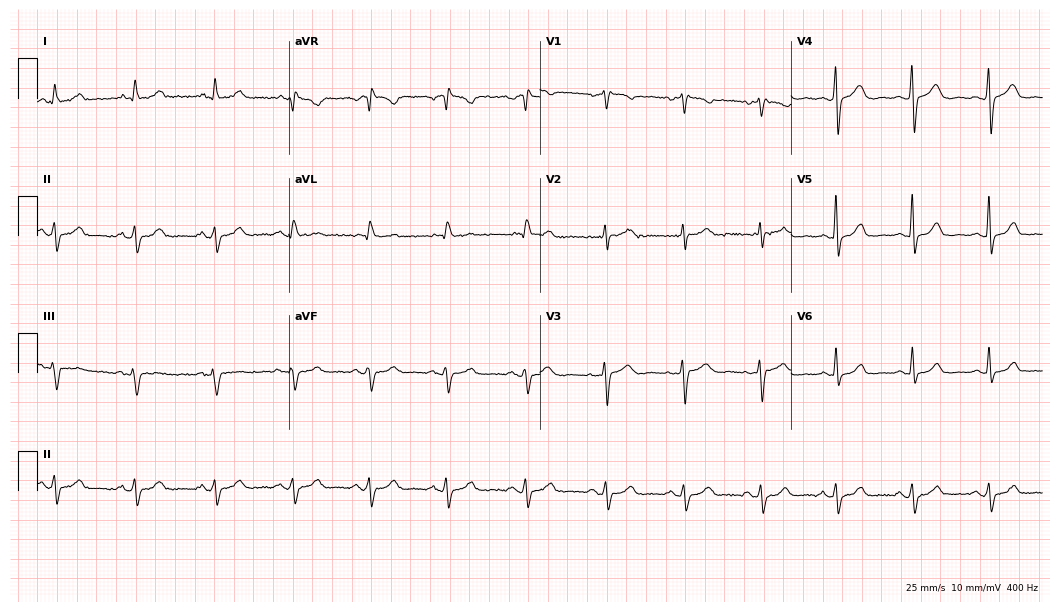
12-lead ECG (10.2-second recording at 400 Hz) from a female, 64 years old. Screened for six findings — first-degree AV block, right bundle branch block, left bundle branch block, sinus bradycardia, atrial fibrillation, sinus tachycardia — none is recorded.